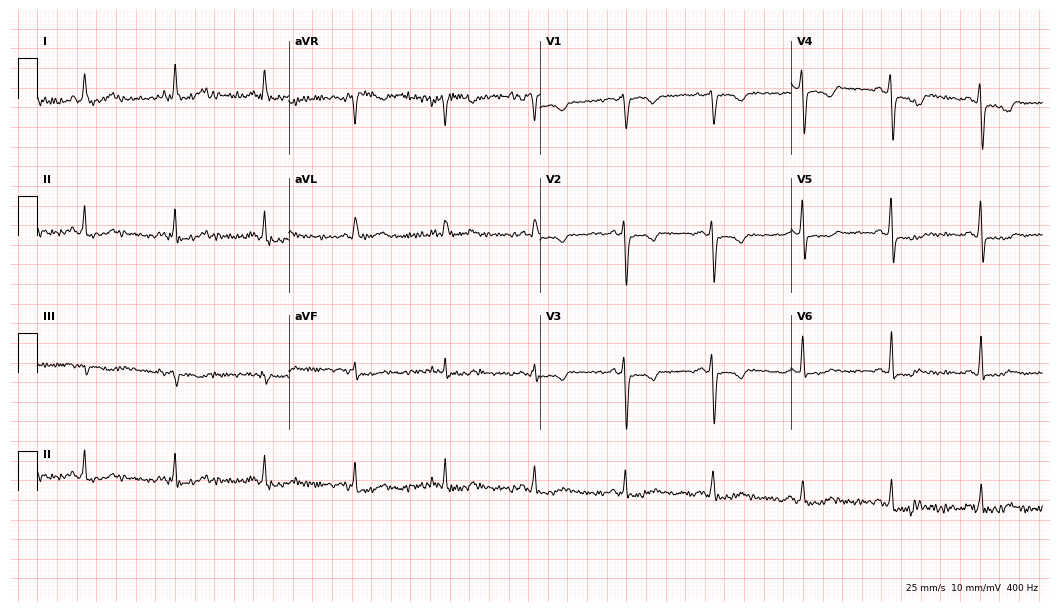
Resting 12-lead electrocardiogram (10.2-second recording at 400 Hz). Patient: a 58-year-old female. Read as a normal ECG.